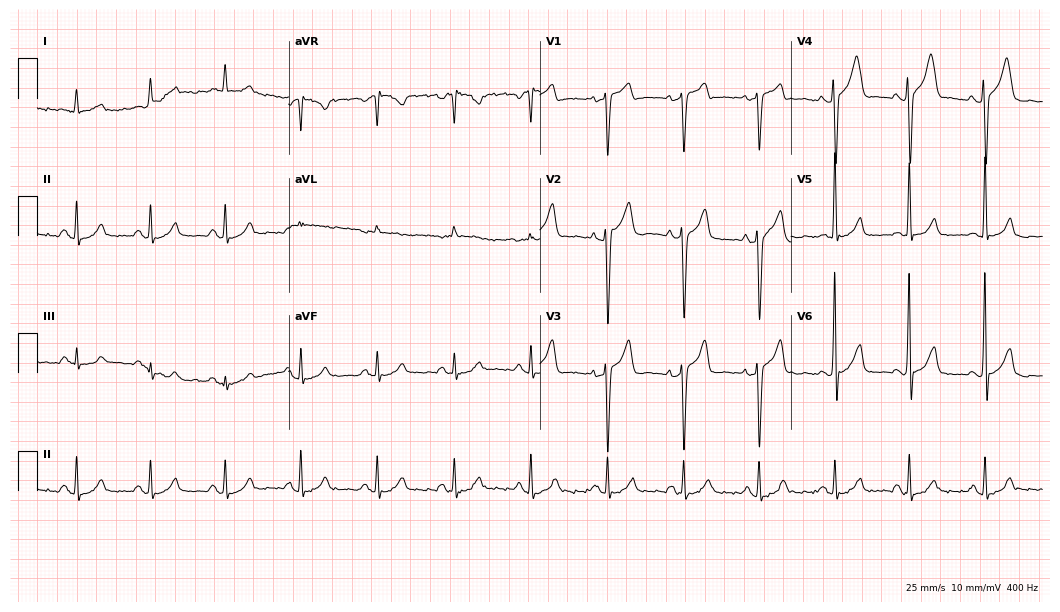
Standard 12-lead ECG recorded from a 77-year-old man (10.2-second recording at 400 Hz). Read as a normal ECG.